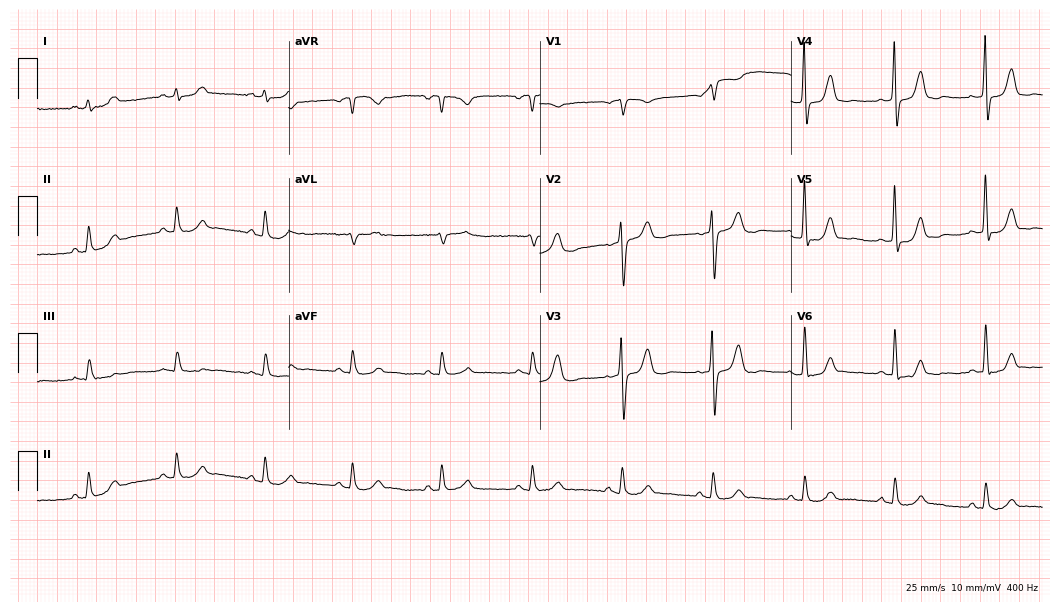
12-lead ECG from a 78-year-old female. Screened for six findings — first-degree AV block, right bundle branch block, left bundle branch block, sinus bradycardia, atrial fibrillation, sinus tachycardia — none is recorded.